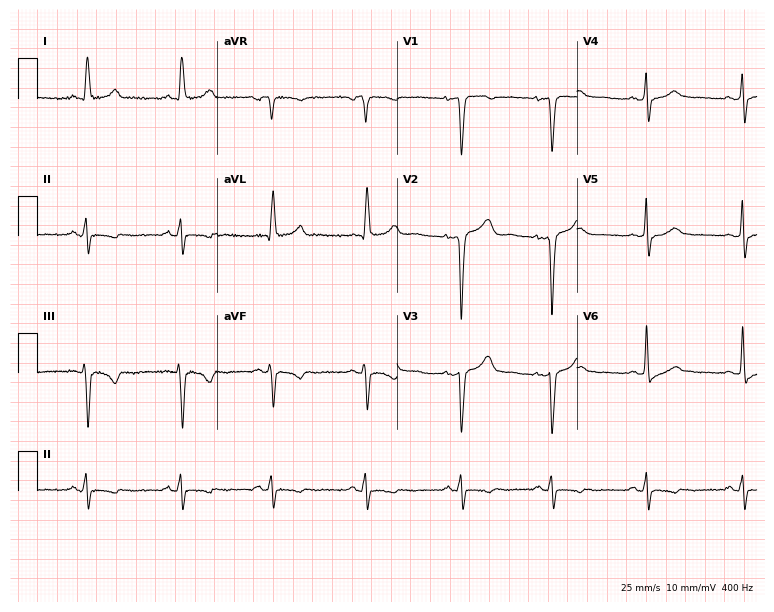
12-lead ECG from a 34-year-old female patient. Screened for six findings — first-degree AV block, right bundle branch block (RBBB), left bundle branch block (LBBB), sinus bradycardia, atrial fibrillation (AF), sinus tachycardia — none is recorded.